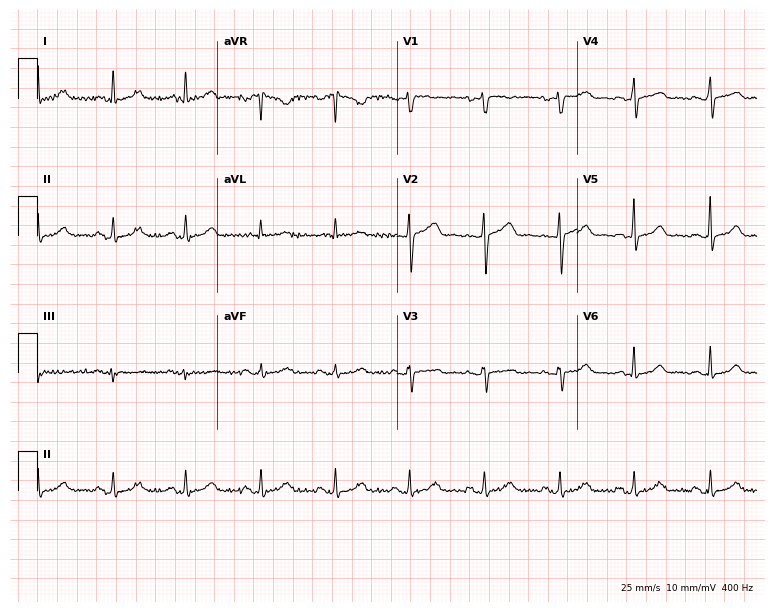
ECG — a 50-year-old female. Labelled as a normal ECG.